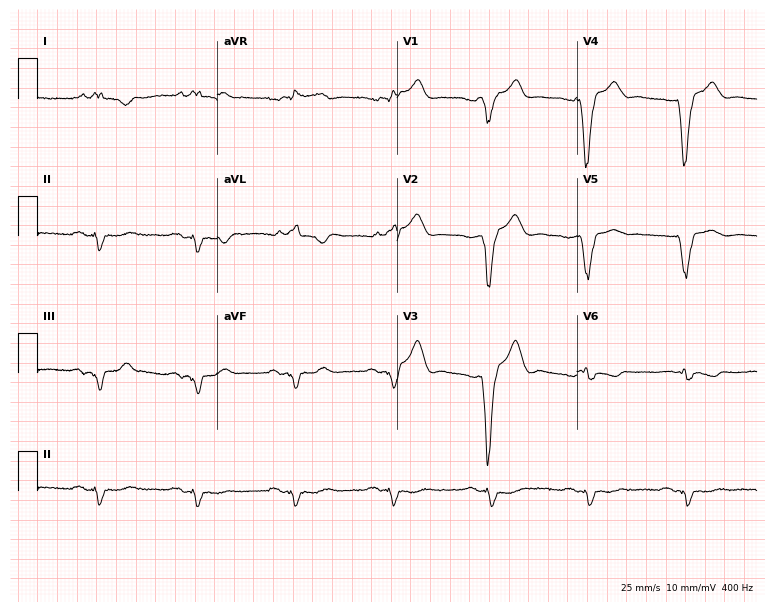
12-lead ECG from a male, 63 years old (7.3-second recording at 400 Hz). Shows left bundle branch block (LBBB).